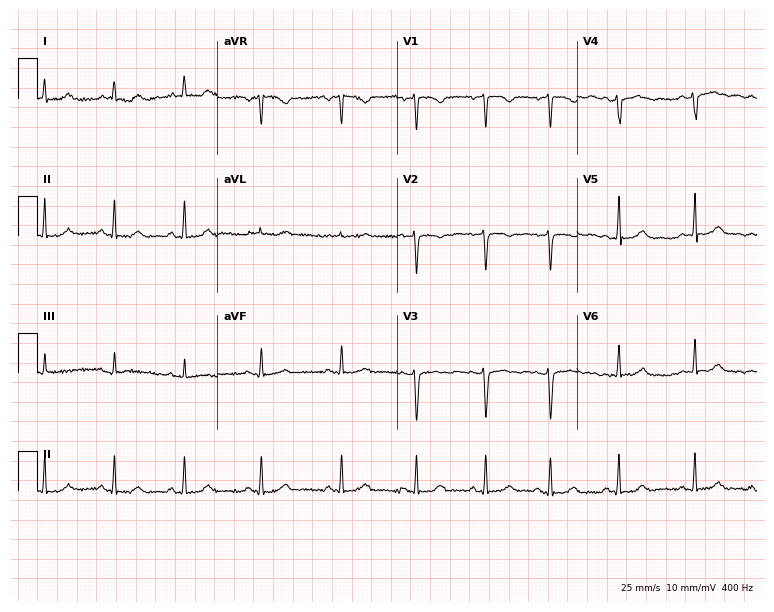
Electrocardiogram (7.3-second recording at 400 Hz), a 17-year-old woman. Of the six screened findings (first-degree AV block, right bundle branch block (RBBB), left bundle branch block (LBBB), sinus bradycardia, atrial fibrillation (AF), sinus tachycardia), none is recorded.